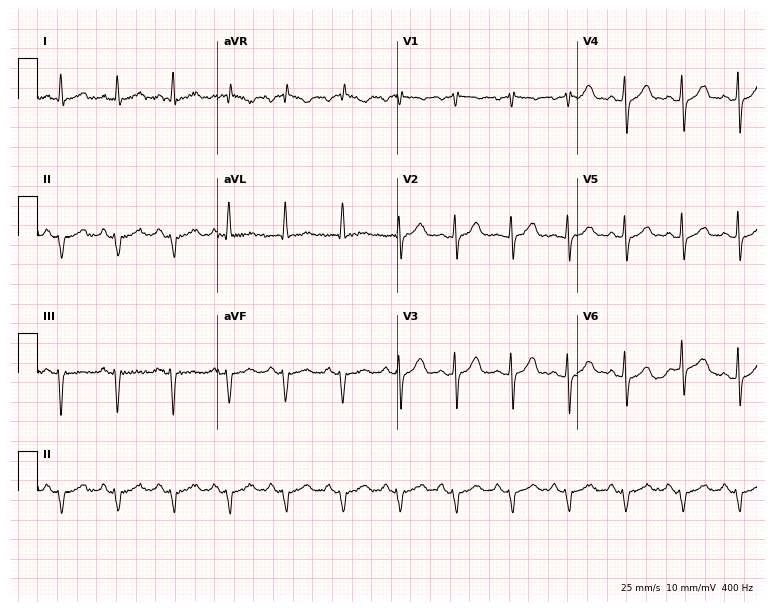
ECG — a 60-year-old male. Findings include sinus tachycardia (a sinus rate of 100 beats per minute or more).